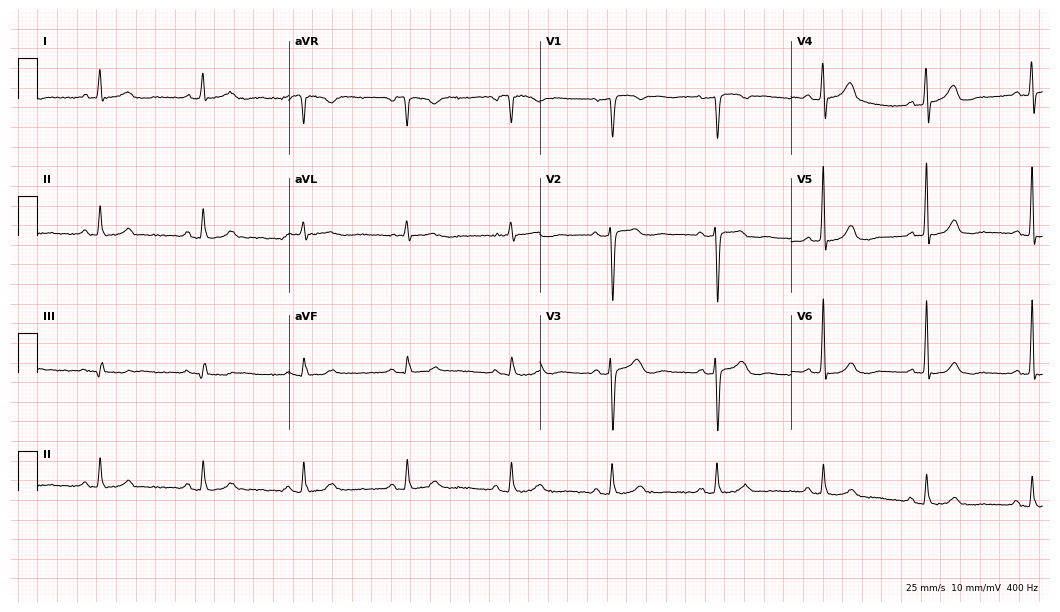
12-lead ECG from a woman, 63 years old. Screened for six findings — first-degree AV block, right bundle branch block, left bundle branch block, sinus bradycardia, atrial fibrillation, sinus tachycardia — none is recorded. Other findings, if any, are not listed.